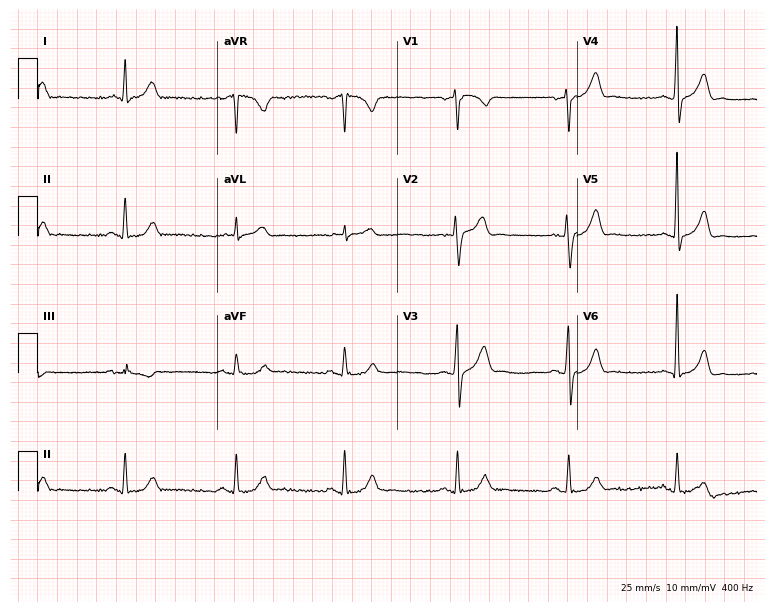
Resting 12-lead electrocardiogram (7.3-second recording at 400 Hz). Patient: a male, 45 years old. Read as a normal ECG.